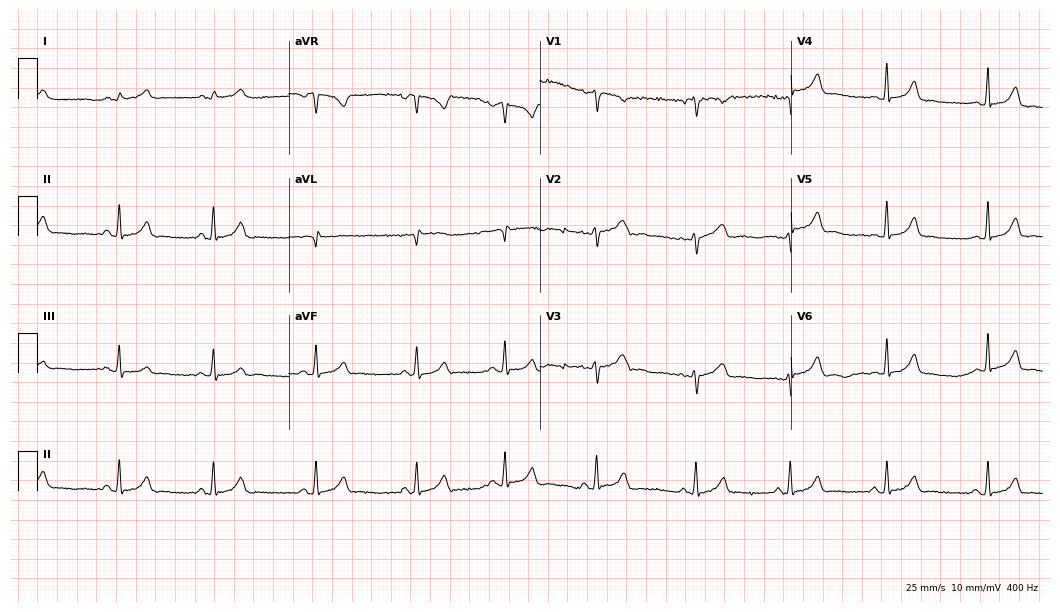
ECG (10.2-second recording at 400 Hz) — an 18-year-old female. Labelled as a normal ECG.